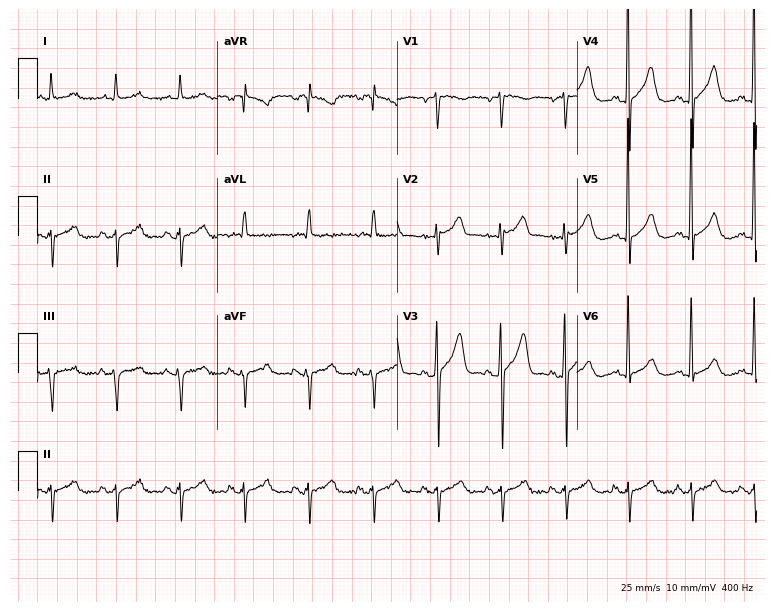
ECG — a male, 67 years old. Screened for six findings — first-degree AV block, right bundle branch block, left bundle branch block, sinus bradycardia, atrial fibrillation, sinus tachycardia — none is recorded.